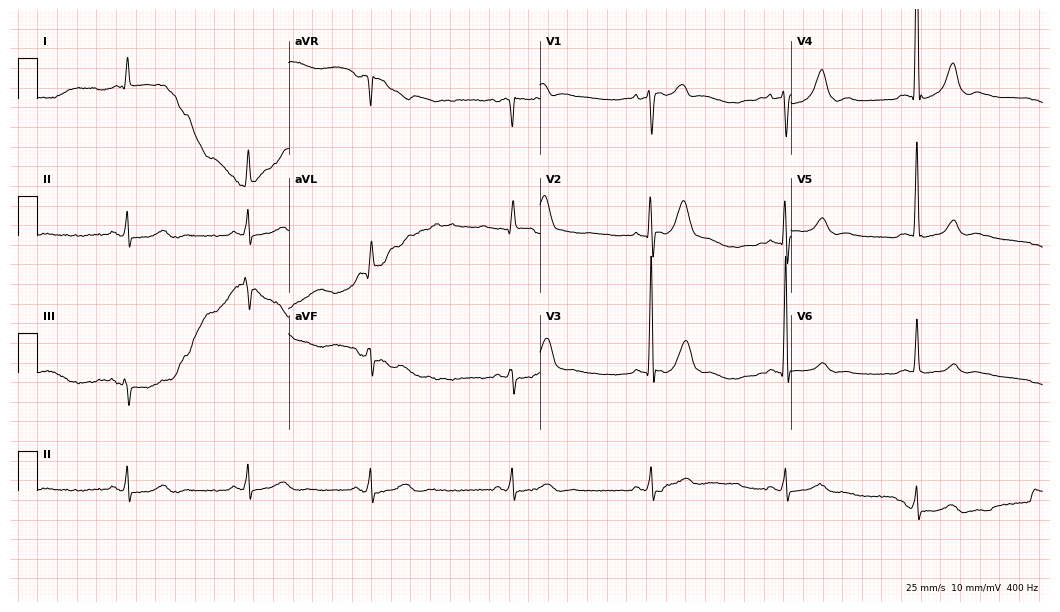
Resting 12-lead electrocardiogram (10.2-second recording at 400 Hz). Patient: an 85-year-old male. The tracing shows sinus bradycardia (a sinus rate of 50 beats per minute or less).